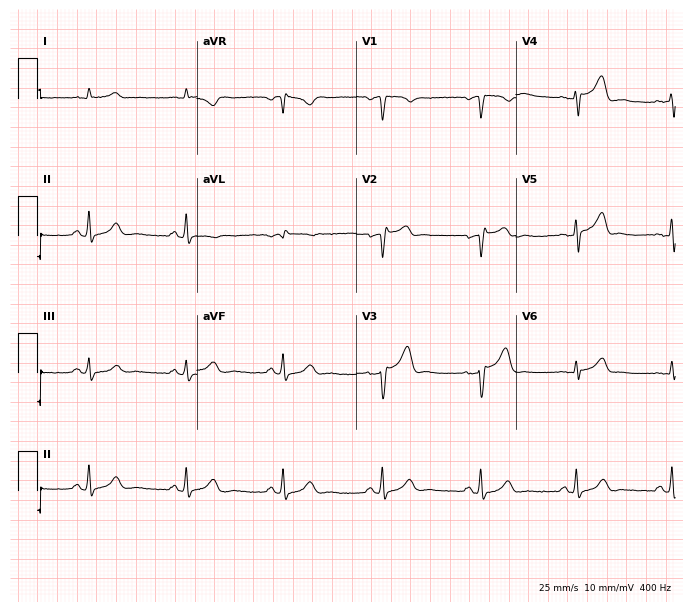
12-lead ECG from a 58-year-old male. No first-degree AV block, right bundle branch block (RBBB), left bundle branch block (LBBB), sinus bradycardia, atrial fibrillation (AF) or sinus tachycardia recorded for this tracing.